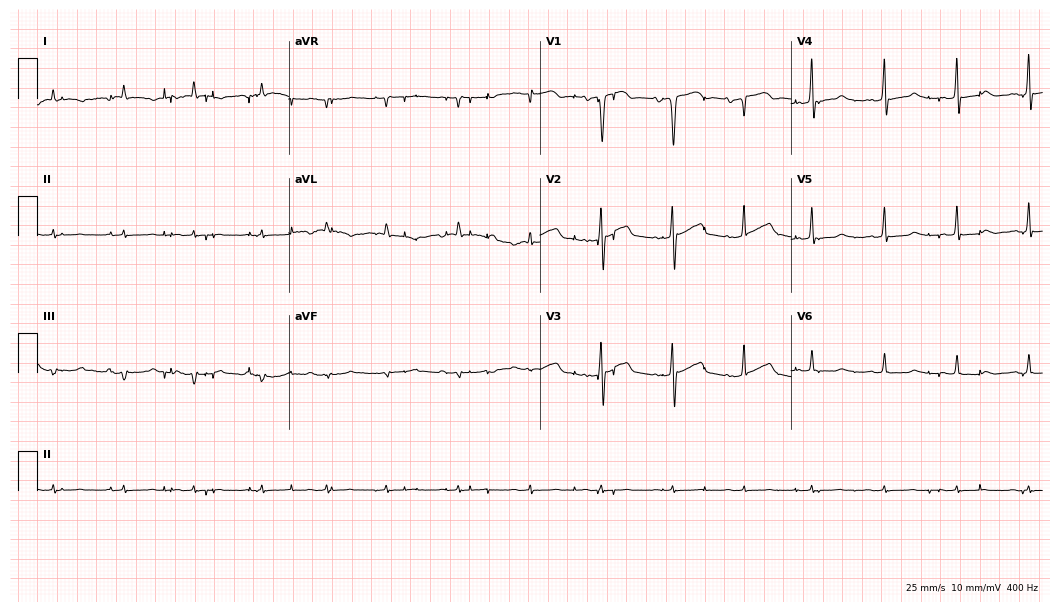
12-lead ECG from an 80-year-old female patient. Screened for six findings — first-degree AV block, right bundle branch block, left bundle branch block, sinus bradycardia, atrial fibrillation, sinus tachycardia — none is recorded. Only these six findings were labelled.